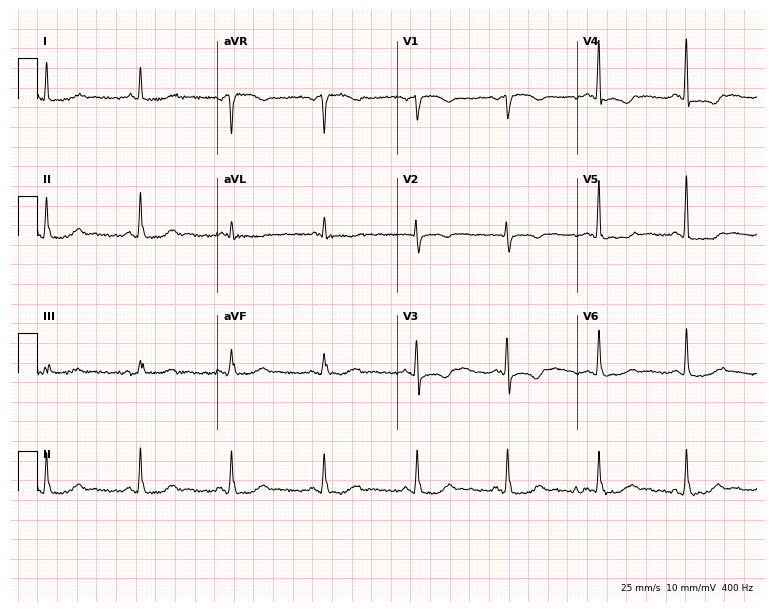
Resting 12-lead electrocardiogram (7.3-second recording at 400 Hz). Patient: a female, 56 years old. None of these six findings is recorded: first-degree AV block, right bundle branch block, left bundle branch block, sinus bradycardia, atrial fibrillation, sinus tachycardia. Only these six findings were labelled.